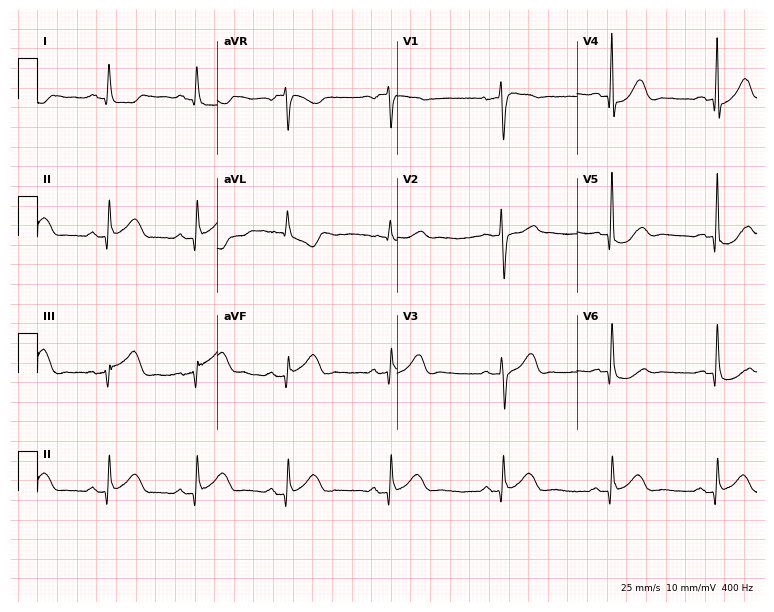
Standard 12-lead ECG recorded from a female patient, 76 years old (7.3-second recording at 400 Hz). None of these six findings is recorded: first-degree AV block, right bundle branch block (RBBB), left bundle branch block (LBBB), sinus bradycardia, atrial fibrillation (AF), sinus tachycardia.